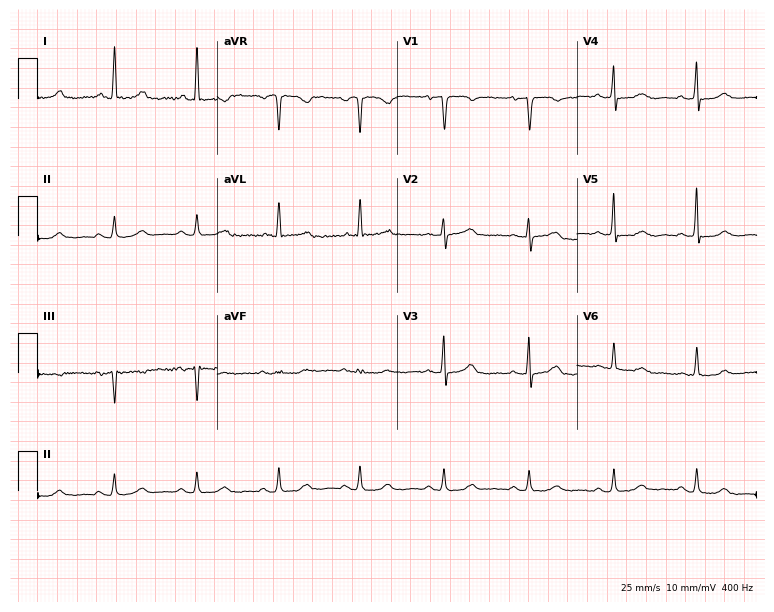
ECG — a female patient, 77 years old. Screened for six findings — first-degree AV block, right bundle branch block (RBBB), left bundle branch block (LBBB), sinus bradycardia, atrial fibrillation (AF), sinus tachycardia — none is recorded. Only these six findings were labelled.